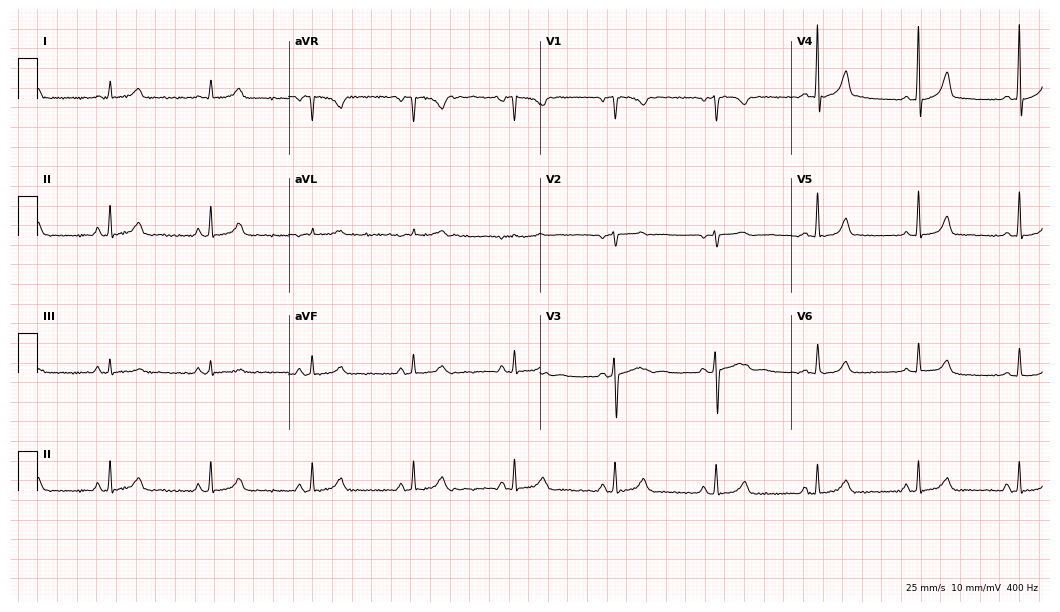
ECG (10.2-second recording at 400 Hz) — a 29-year-old woman. Labelled as a normal ECG.